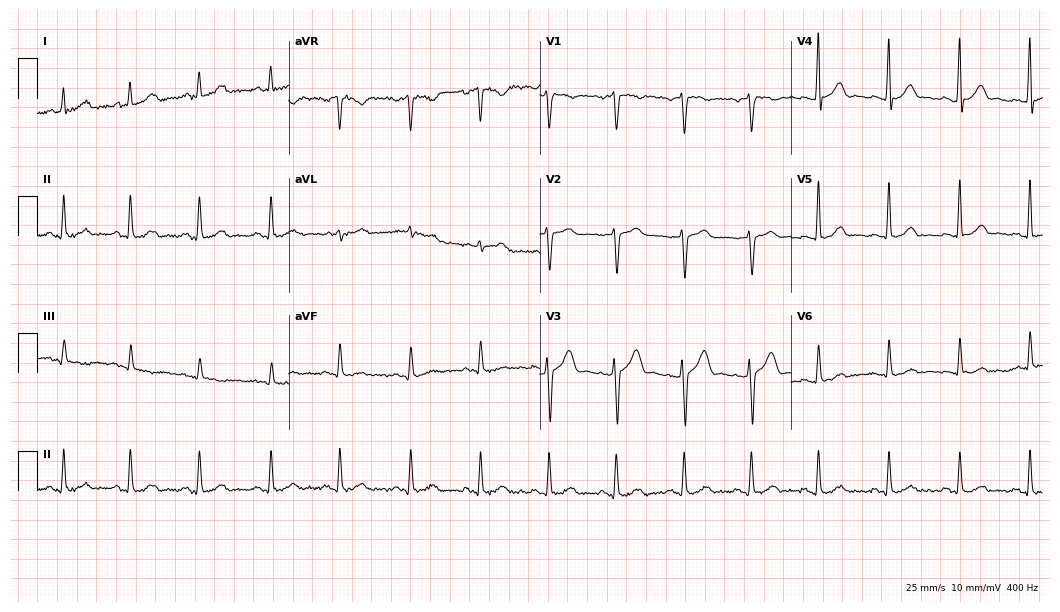
Electrocardiogram, a male patient, 36 years old. Overall reading on record: normal ECG.